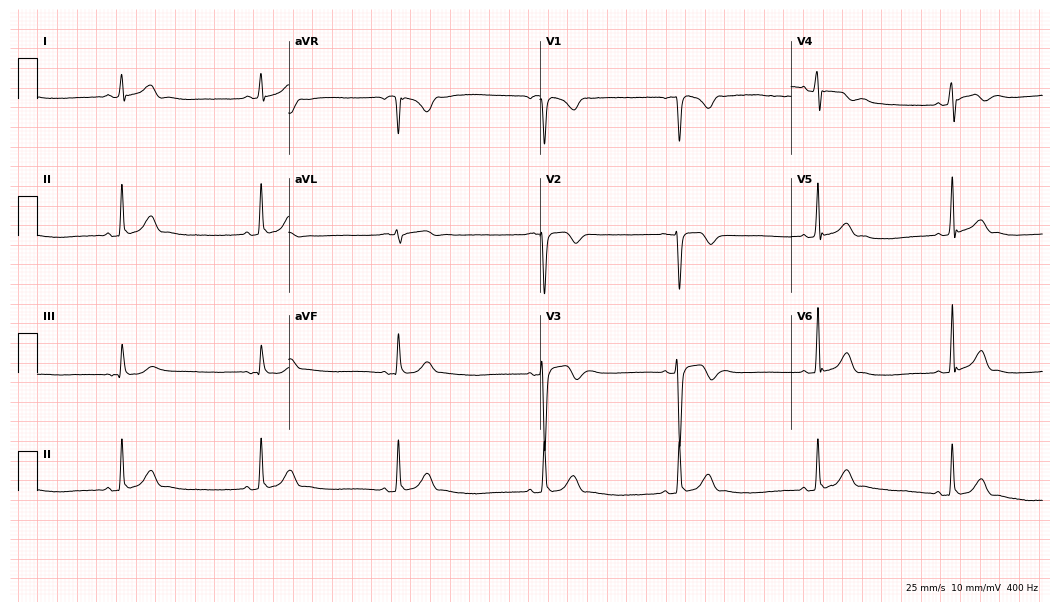
12-lead ECG from a man, 19 years old (10.2-second recording at 400 Hz). Shows sinus bradycardia (a sinus rate of 50 beats per minute or less).